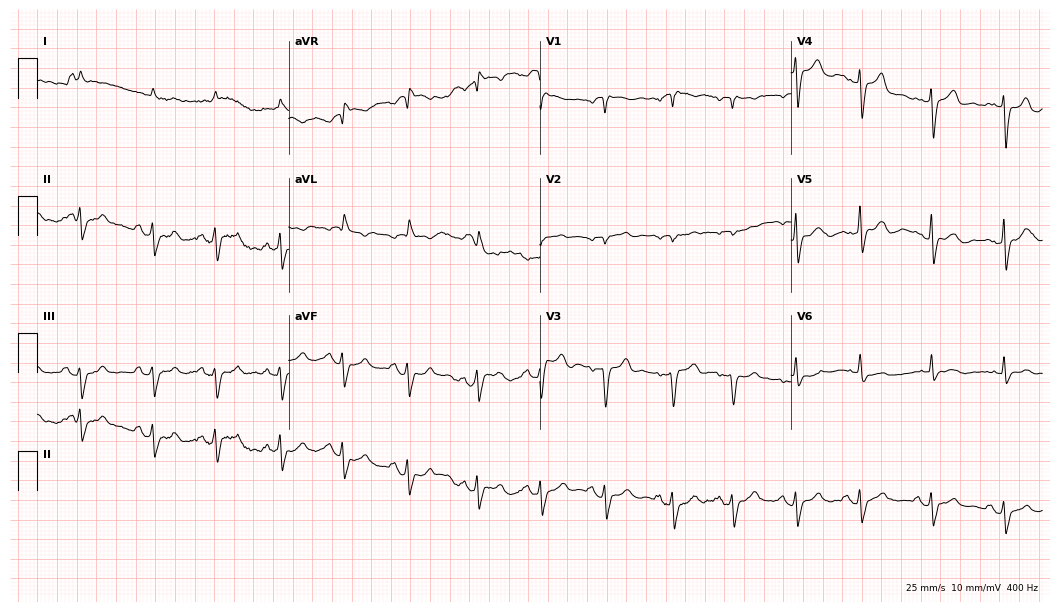
Resting 12-lead electrocardiogram (10.2-second recording at 400 Hz). Patient: a male, 75 years old. None of these six findings is recorded: first-degree AV block, right bundle branch block (RBBB), left bundle branch block (LBBB), sinus bradycardia, atrial fibrillation (AF), sinus tachycardia.